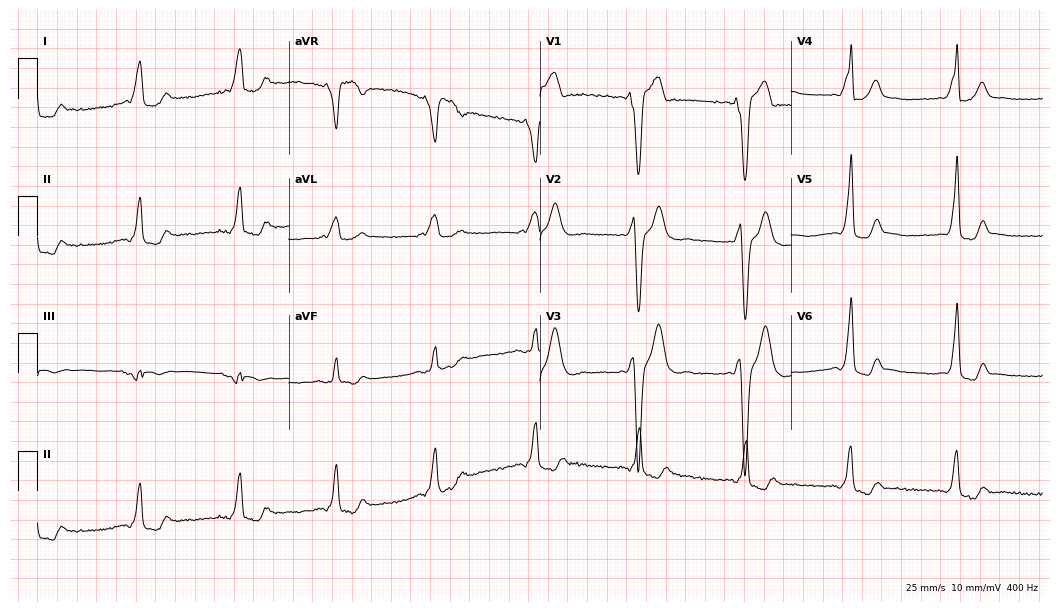
12-lead ECG from a male patient, 35 years old (10.2-second recording at 400 Hz). No first-degree AV block, right bundle branch block (RBBB), left bundle branch block (LBBB), sinus bradycardia, atrial fibrillation (AF) or sinus tachycardia recorded for this tracing. Other findings, if any, are not listed.